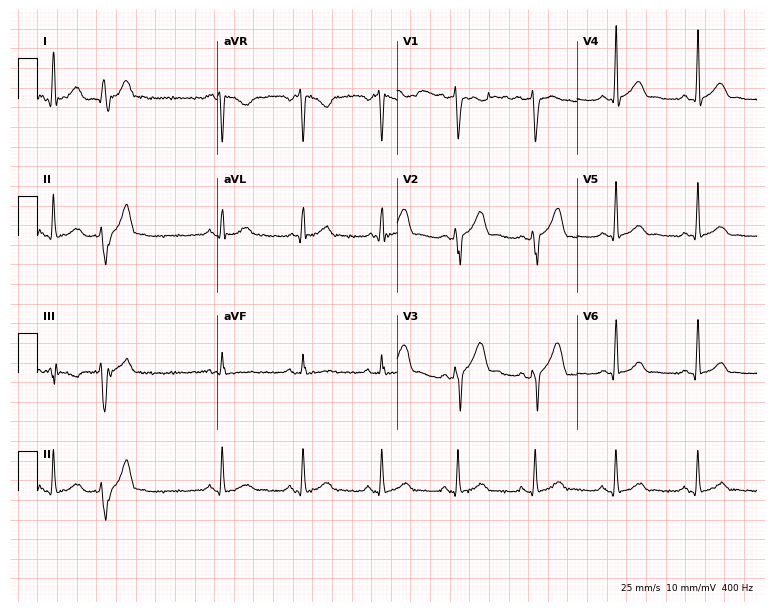
12-lead ECG from a 30-year-old male patient (7.3-second recording at 400 Hz). No first-degree AV block, right bundle branch block, left bundle branch block, sinus bradycardia, atrial fibrillation or sinus tachycardia recorded for this tracing. Only these six findings were labelled.